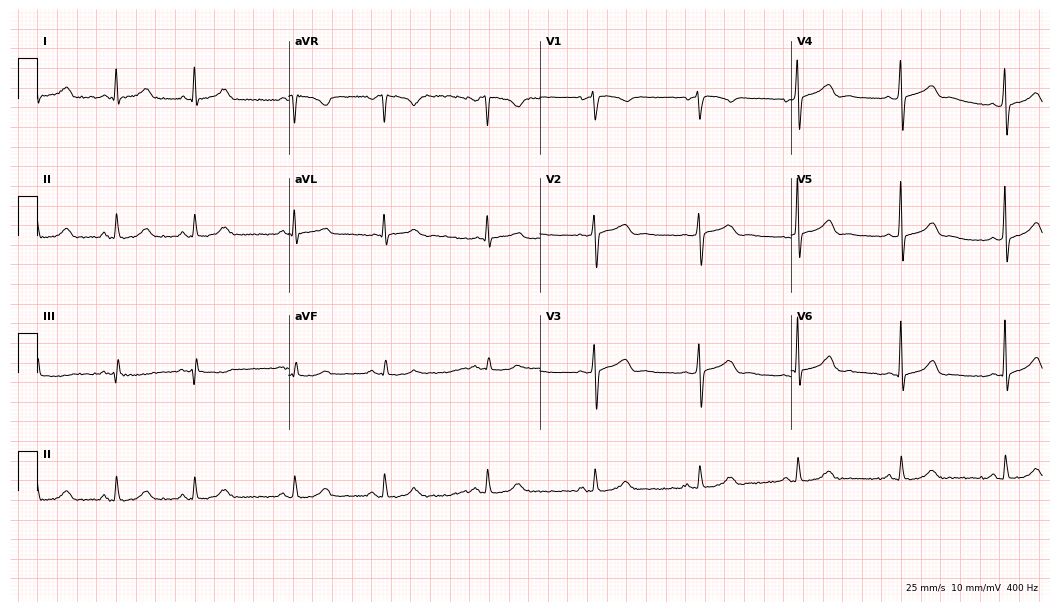
12-lead ECG (10.2-second recording at 400 Hz) from a female, 55 years old. Labelled as a normal ECG.